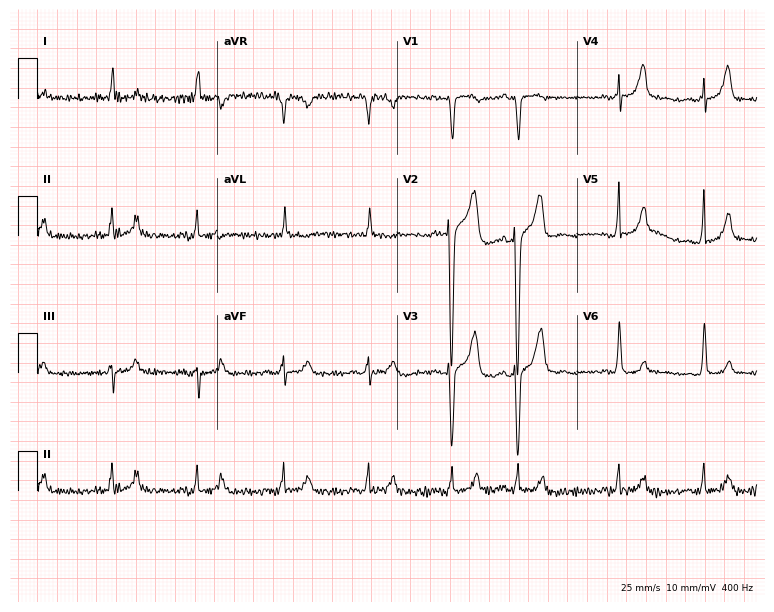
ECG (7.3-second recording at 400 Hz) — a woman, 79 years old. Screened for six findings — first-degree AV block, right bundle branch block (RBBB), left bundle branch block (LBBB), sinus bradycardia, atrial fibrillation (AF), sinus tachycardia — none is recorded. Findings outside these six are not listed.